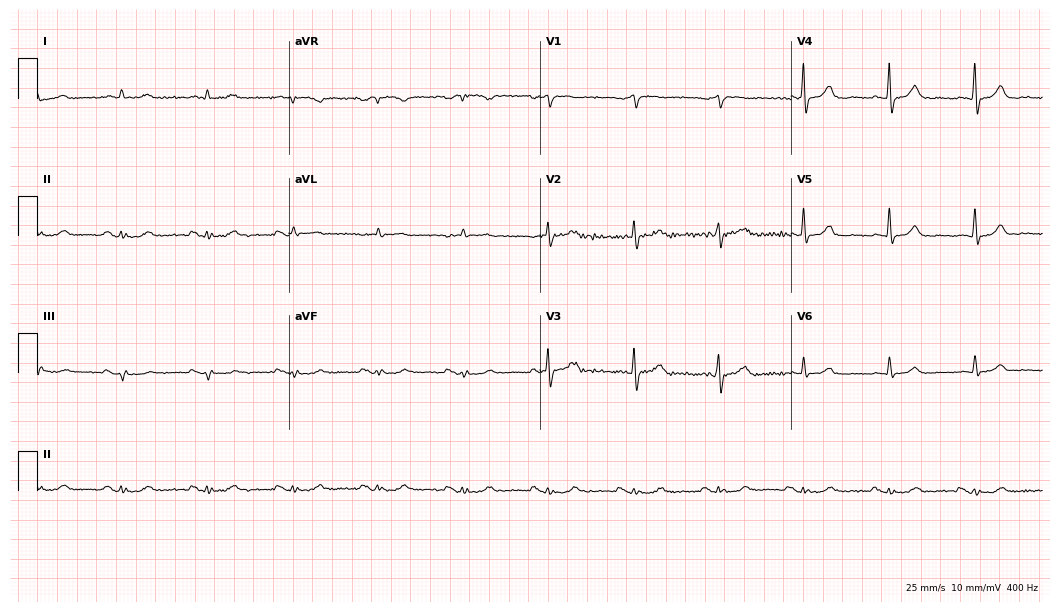
Electrocardiogram, a male patient, 69 years old. Overall reading on record: normal ECG.